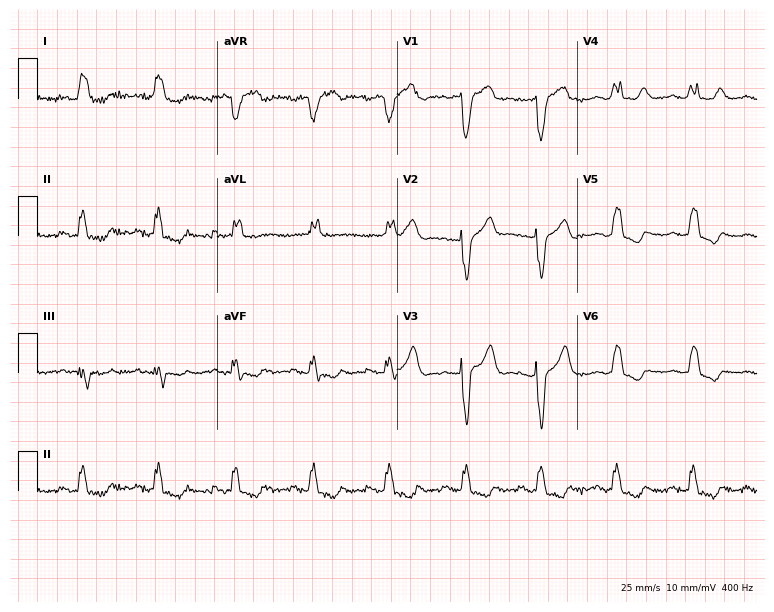
12-lead ECG from a woman, 79 years old (7.3-second recording at 400 Hz). Shows left bundle branch block.